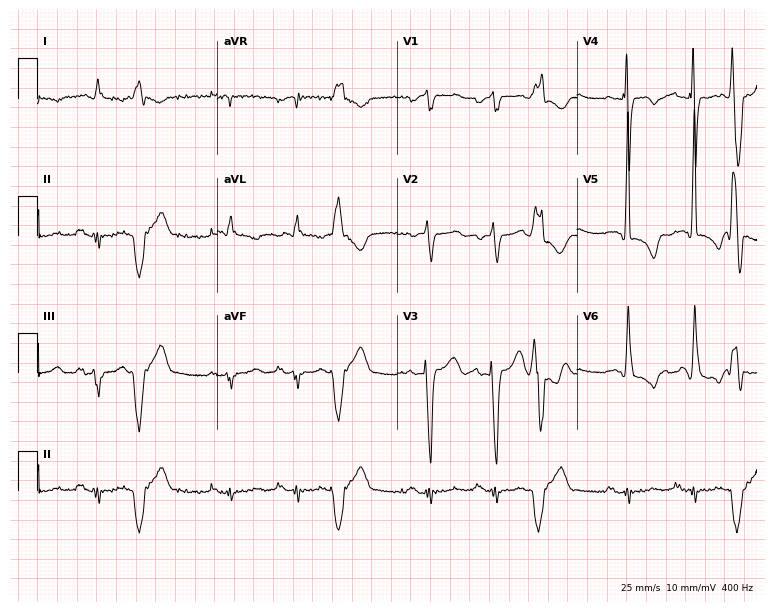
Standard 12-lead ECG recorded from a 60-year-old man. None of these six findings is recorded: first-degree AV block, right bundle branch block (RBBB), left bundle branch block (LBBB), sinus bradycardia, atrial fibrillation (AF), sinus tachycardia.